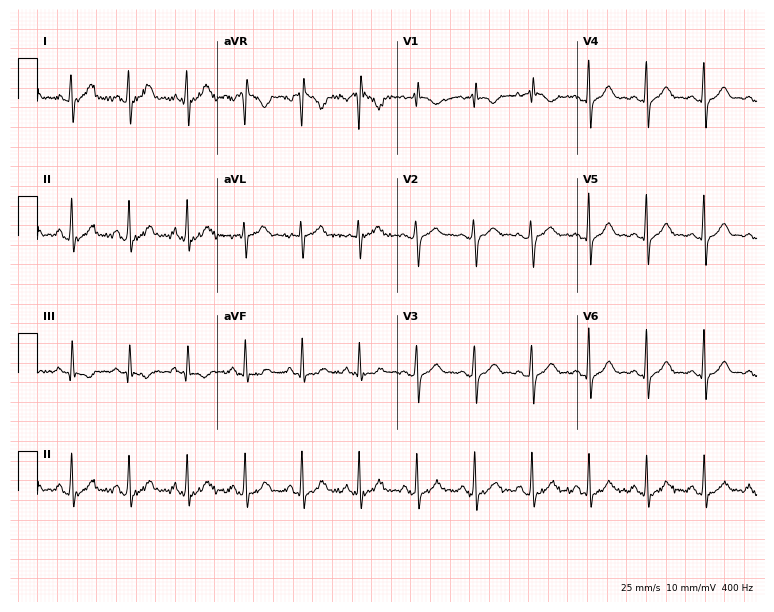
Resting 12-lead electrocardiogram (7.3-second recording at 400 Hz). Patient: a 52-year-old female. None of these six findings is recorded: first-degree AV block, right bundle branch block, left bundle branch block, sinus bradycardia, atrial fibrillation, sinus tachycardia. Other findings, if any, are not listed.